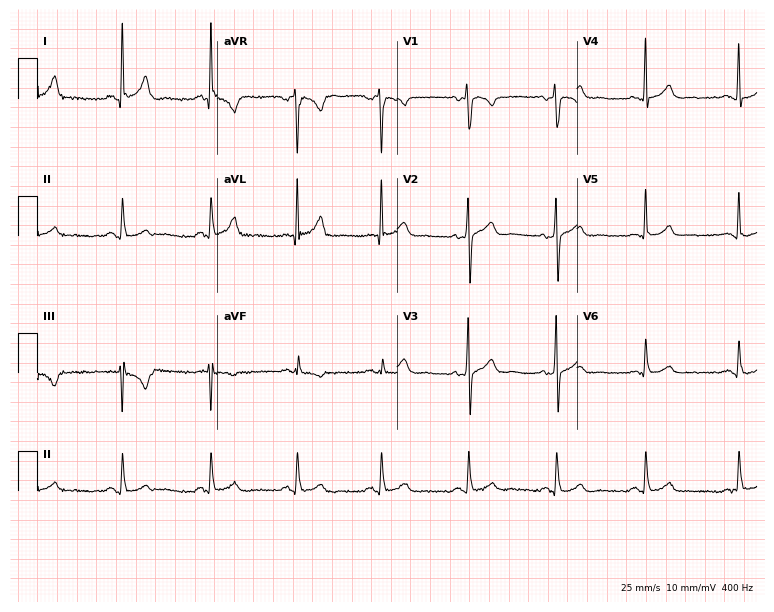
Resting 12-lead electrocardiogram. Patient: a 47-year-old female. None of these six findings is recorded: first-degree AV block, right bundle branch block (RBBB), left bundle branch block (LBBB), sinus bradycardia, atrial fibrillation (AF), sinus tachycardia. Findings outside these six are not listed.